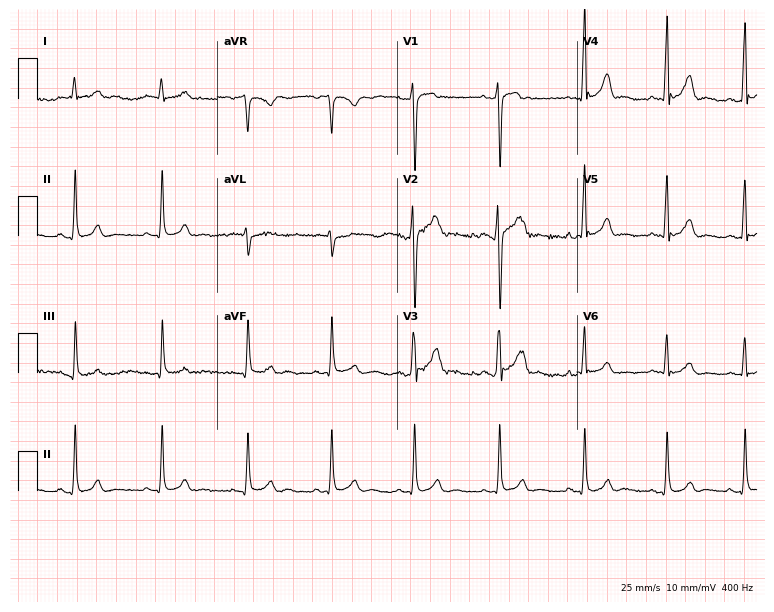
Resting 12-lead electrocardiogram (7.3-second recording at 400 Hz). Patient: a man, 31 years old. None of these six findings is recorded: first-degree AV block, right bundle branch block, left bundle branch block, sinus bradycardia, atrial fibrillation, sinus tachycardia.